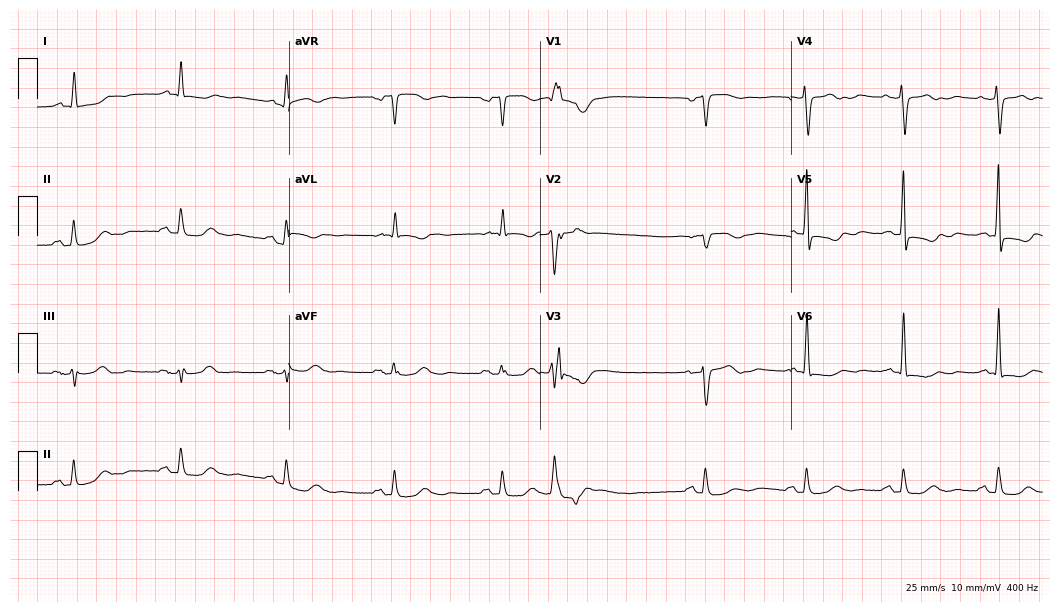
Standard 12-lead ECG recorded from a woman, 74 years old. None of these six findings is recorded: first-degree AV block, right bundle branch block, left bundle branch block, sinus bradycardia, atrial fibrillation, sinus tachycardia. Findings outside these six are not listed.